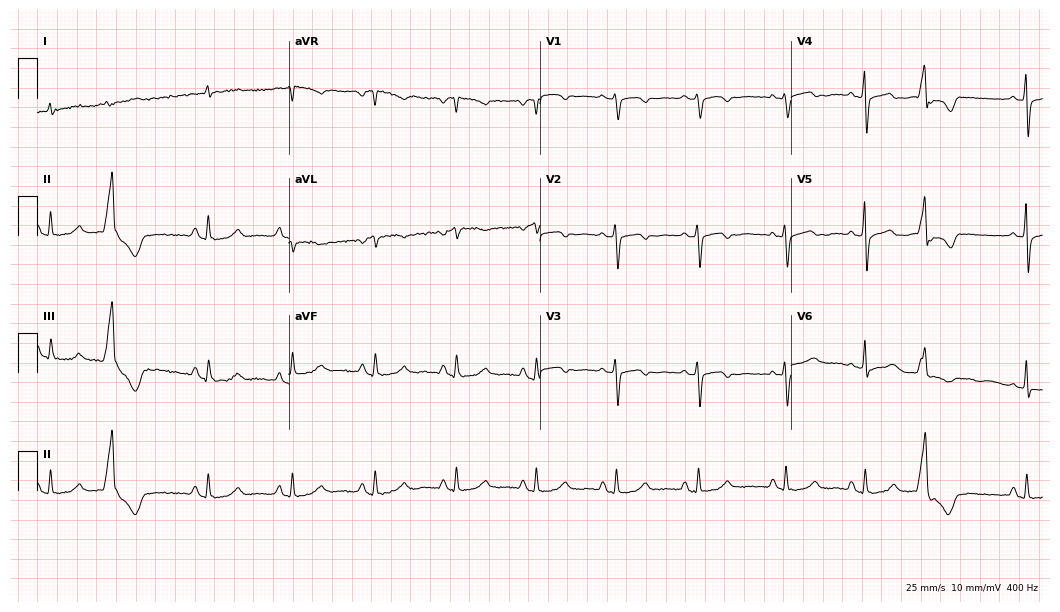
ECG — a female, 63 years old. Labelled as a normal ECG.